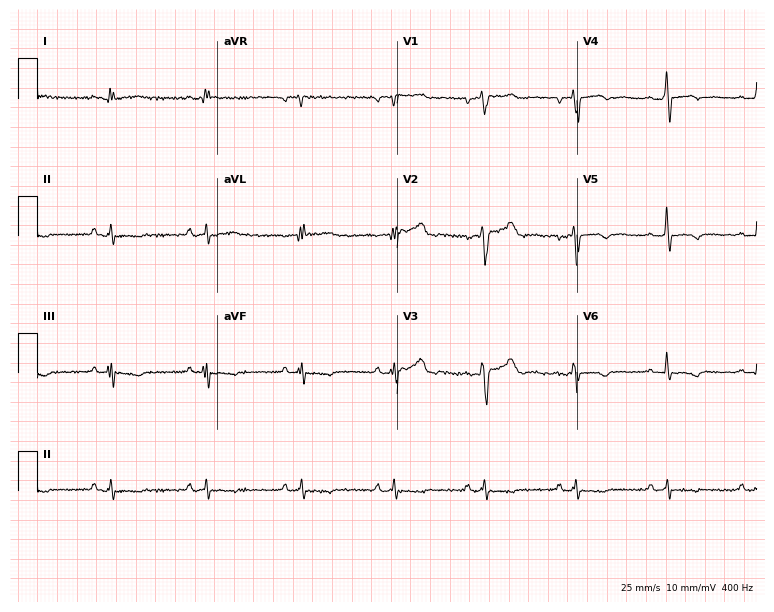
12-lead ECG from a 49-year-old male (7.3-second recording at 400 Hz). No first-degree AV block, right bundle branch block (RBBB), left bundle branch block (LBBB), sinus bradycardia, atrial fibrillation (AF) or sinus tachycardia recorded for this tracing. Other findings, if any, are not listed.